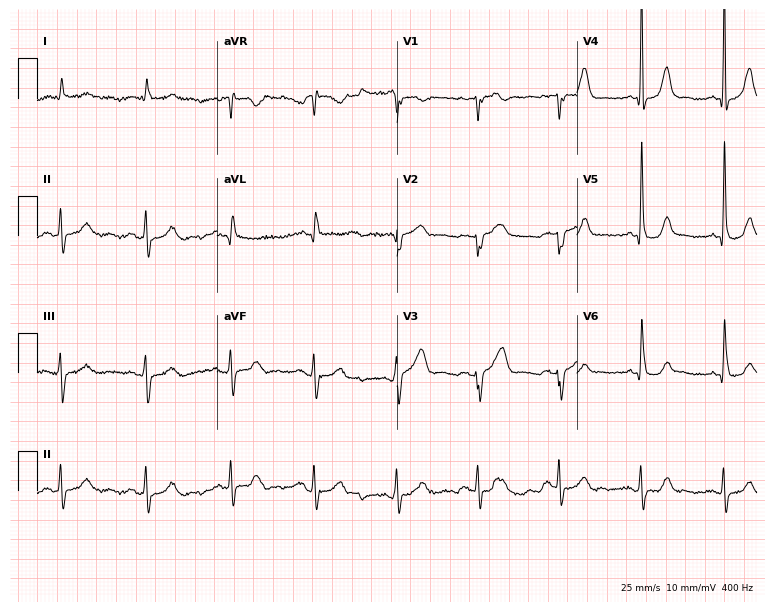
12-lead ECG from a 74-year-old male patient. Screened for six findings — first-degree AV block, right bundle branch block, left bundle branch block, sinus bradycardia, atrial fibrillation, sinus tachycardia — none is recorded. Other findings, if any, are not listed.